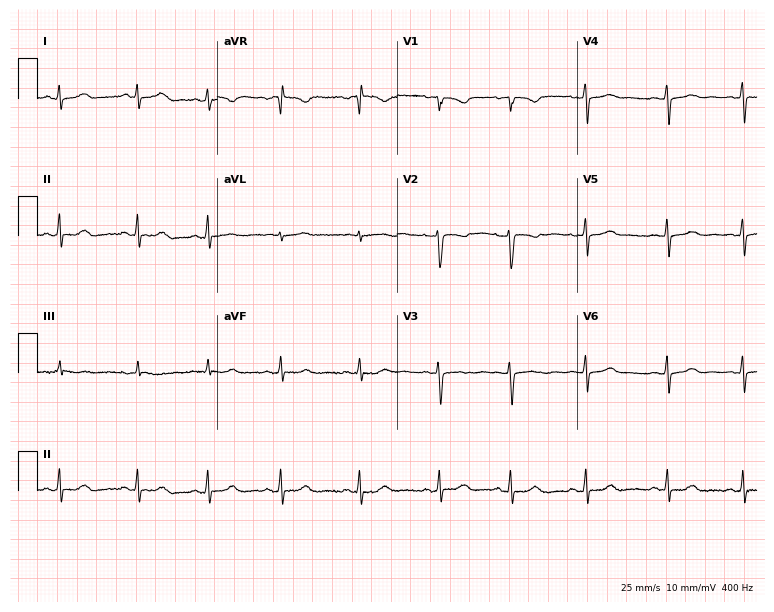
12-lead ECG (7.3-second recording at 400 Hz) from an 18-year-old woman. Screened for six findings — first-degree AV block, right bundle branch block, left bundle branch block, sinus bradycardia, atrial fibrillation, sinus tachycardia — none is recorded.